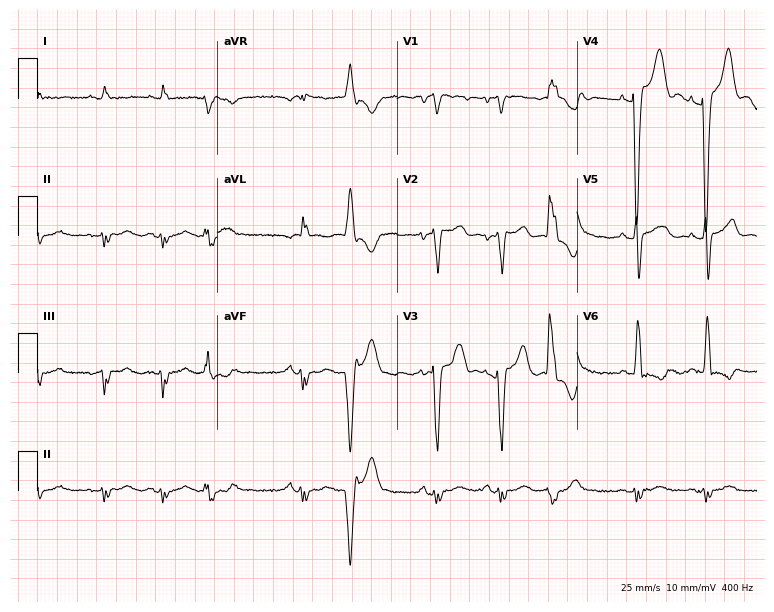
Electrocardiogram (7.3-second recording at 400 Hz), a 70-year-old female patient. Of the six screened findings (first-degree AV block, right bundle branch block, left bundle branch block, sinus bradycardia, atrial fibrillation, sinus tachycardia), none is recorded. Only these six findings were labelled.